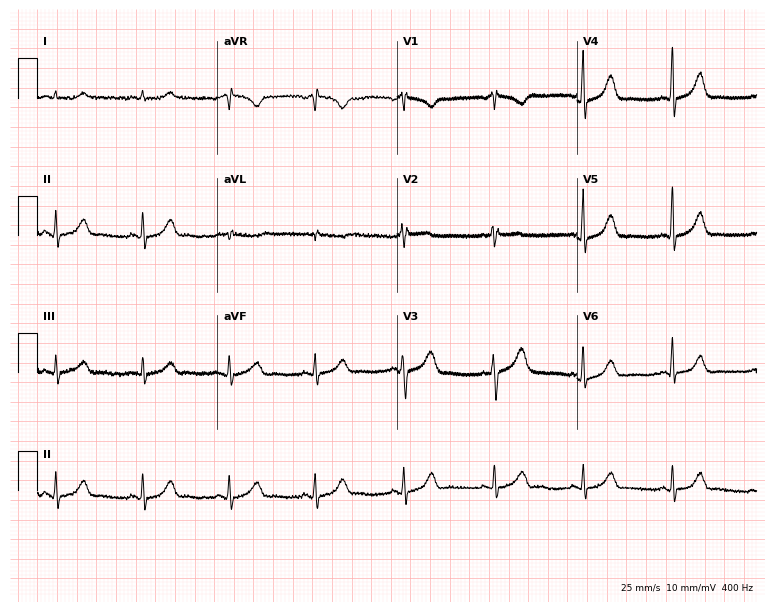
12-lead ECG from a man, 38 years old. Screened for six findings — first-degree AV block, right bundle branch block, left bundle branch block, sinus bradycardia, atrial fibrillation, sinus tachycardia — none is recorded.